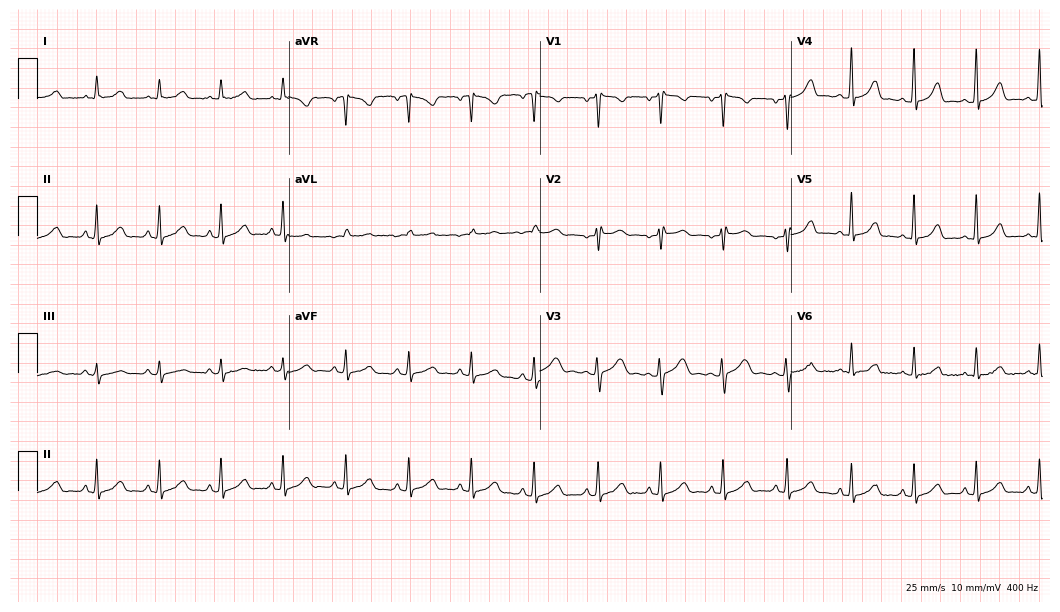
Resting 12-lead electrocardiogram. Patient: a 20-year-old female. Read as a normal ECG.